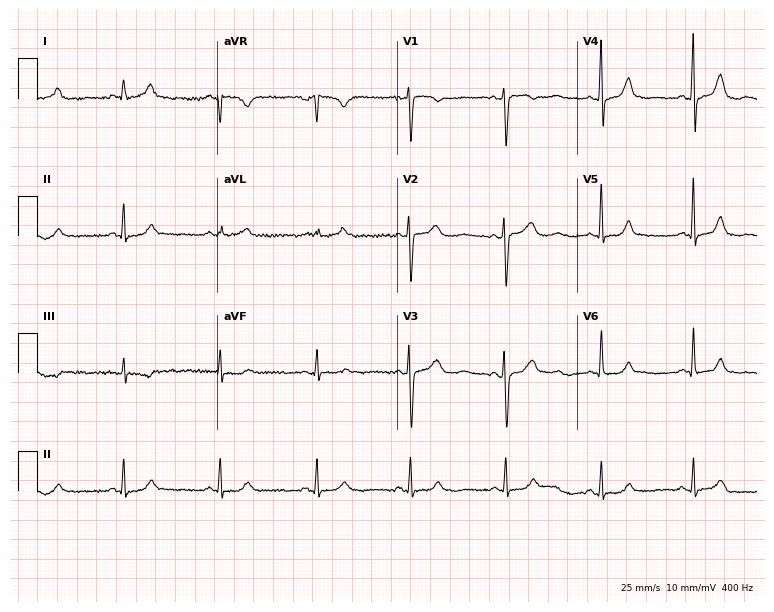
Resting 12-lead electrocardiogram. Patient: a woman, 44 years old. None of these six findings is recorded: first-degree AV block, right bundle branch block, left bundle branch block, sinus bradycardia, atrial fibrillation, sinus tachycardia. Other findings, if any, are not listed.